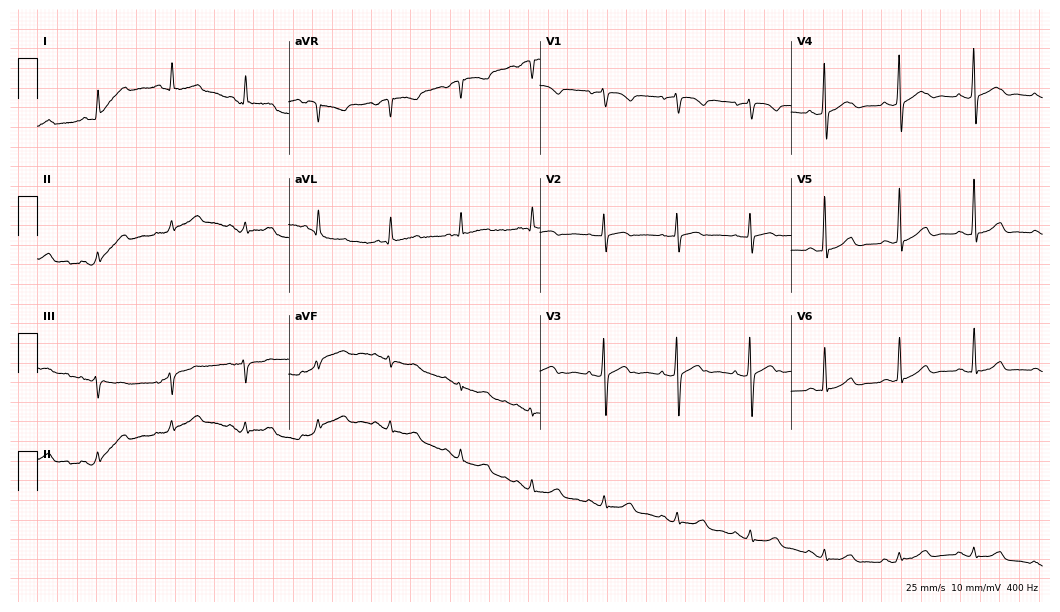
Electrocardiogram, a female, 71 years old. Of the six screened findings (first-degree AV block, right bundle branch block, left bundle branch block, sinus bradycardia, atrial fibrillation, sinus tachycardia), none is recorded.